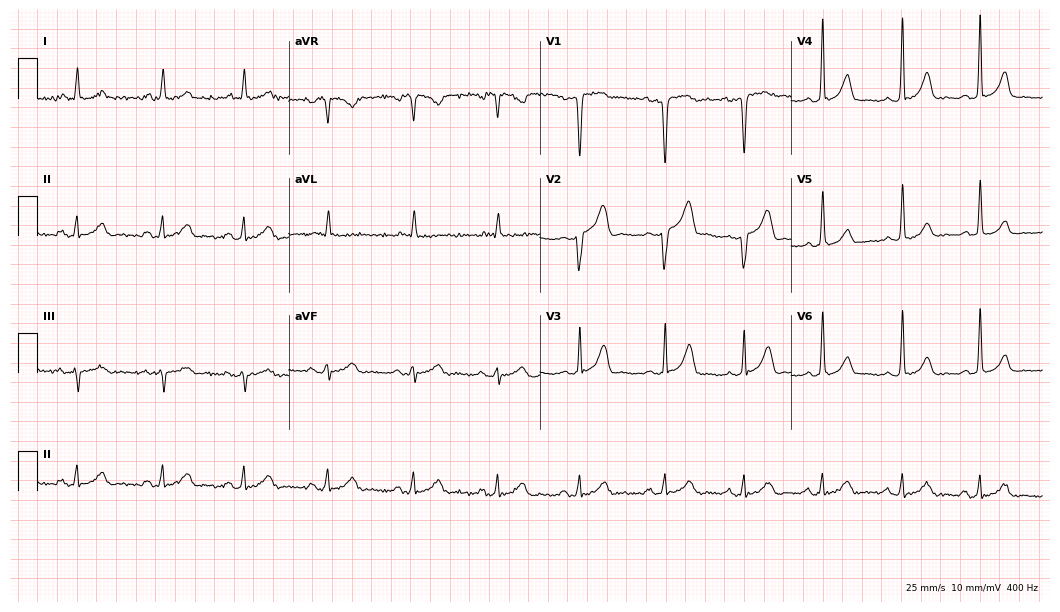
Resting 12-lead electrocardiogram. Patient: a 60-year-old female. None of these six findings is recorded: first-degree AV block, right bundle branch block, left bundle branch block, sinus bradycardia, atrial fibrillation, sinus tachycardia.